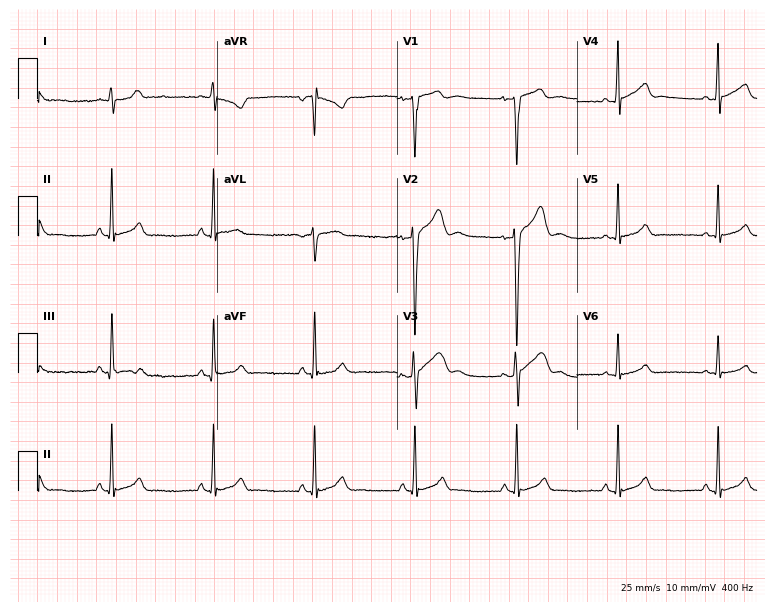
Resting 12-lead electrocardiogram. Patient: a 20-year-old male. Read as a normal ECG.